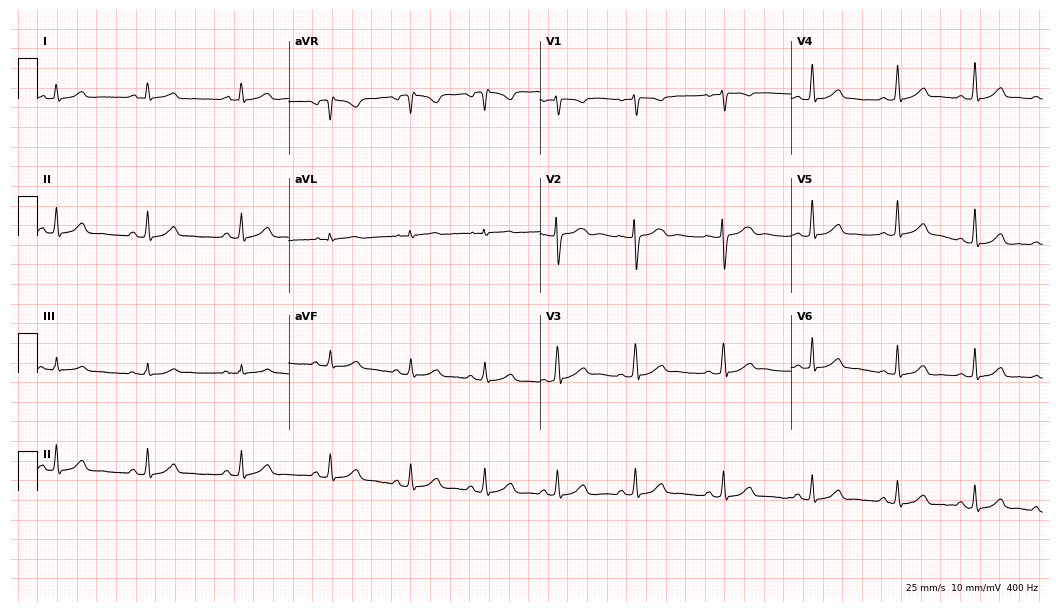
Electrocardiogram, a female patient, 19 years old. Overall reading on record: normal ECG.